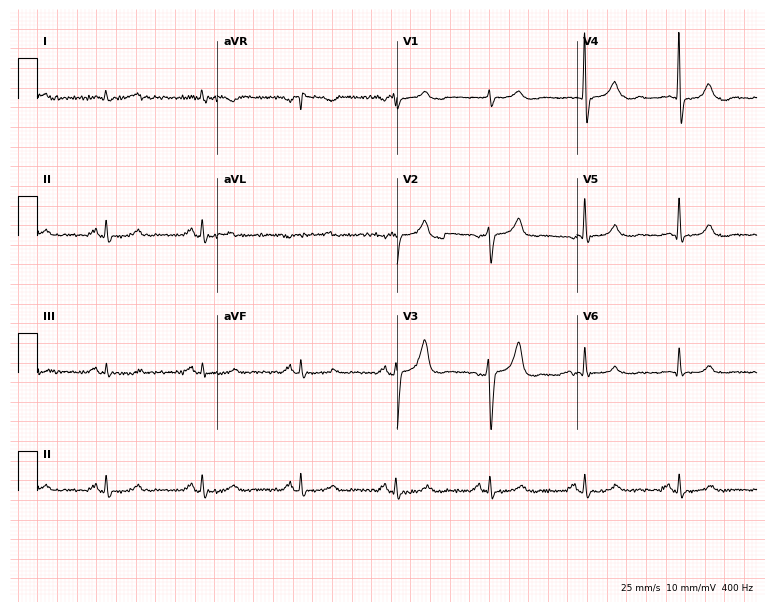
ECG (7.3-second recording at 400 Hz) — a 63-year-old male. Screened for six findings — first-degree AV block, right bundle branch block, left bundle branch block, sinus bradycardia, atrial fibrillation, sinus tachycardia — none is recorded. Only these six findings were labelled.